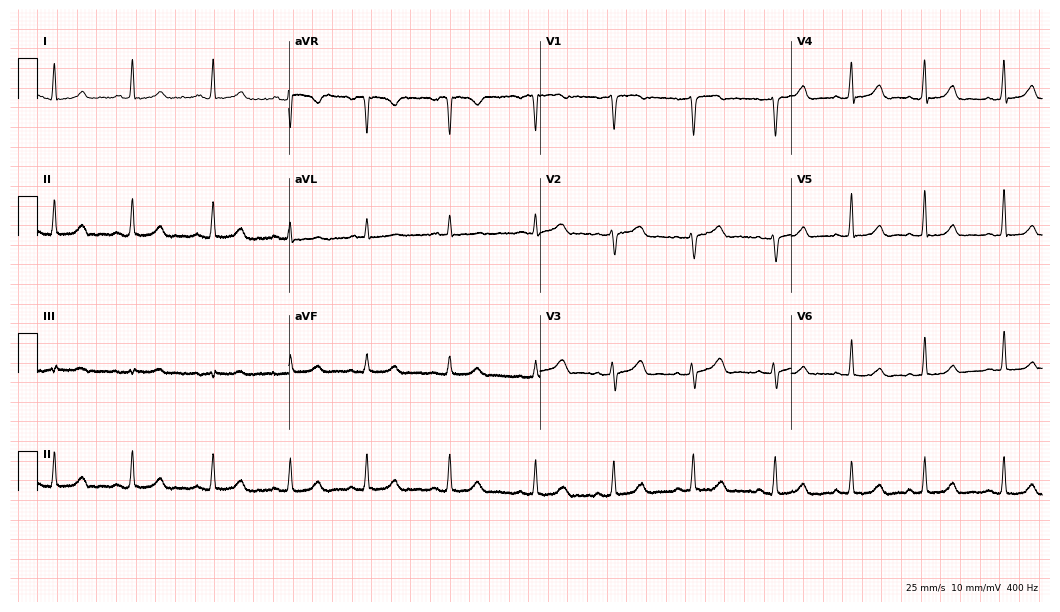
Electrocardiogram (10.2-second recording at 400 Hz), a 48-year-old female. Overall reading on record: normal ECG.